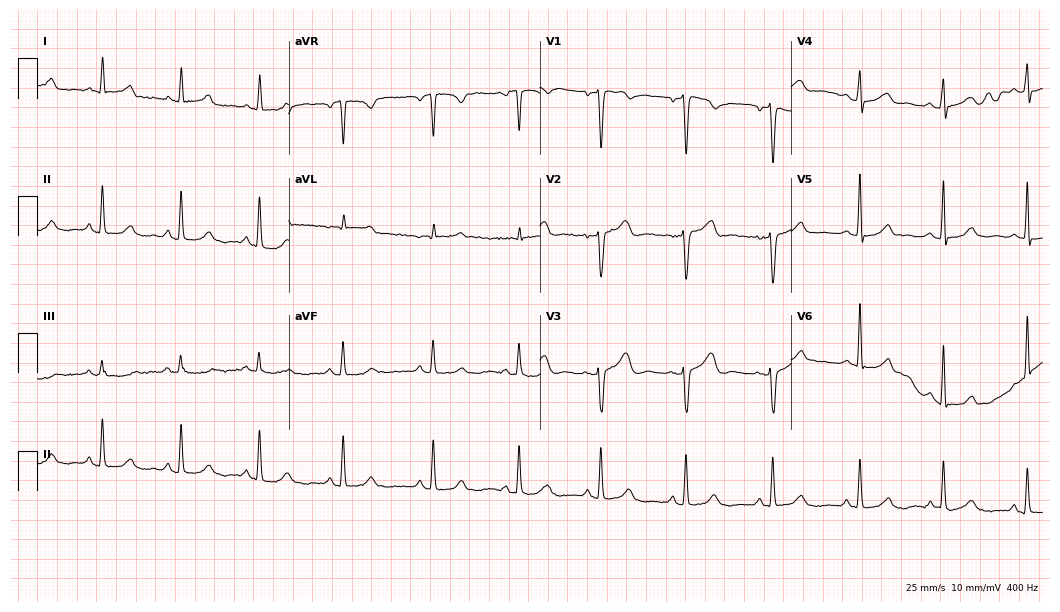
Resting 12-lead electrocardiogram. Patient: a 49-year-old woman. Read as a normal ECG.